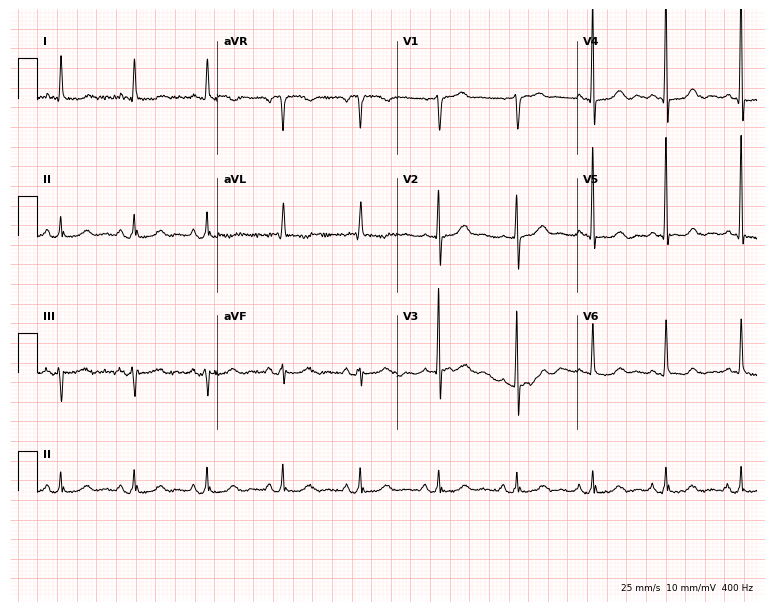
12-lead ECG from a female patient, 53 years old. Screened for six findings — first-degree AV block, right bundle branch block (RBBB), left bundle branch block (LBBB), sinus bradycardia, atrial fibrillation (AF), sinus tachycardia — none is recorded. Findings outside these six are not listed.